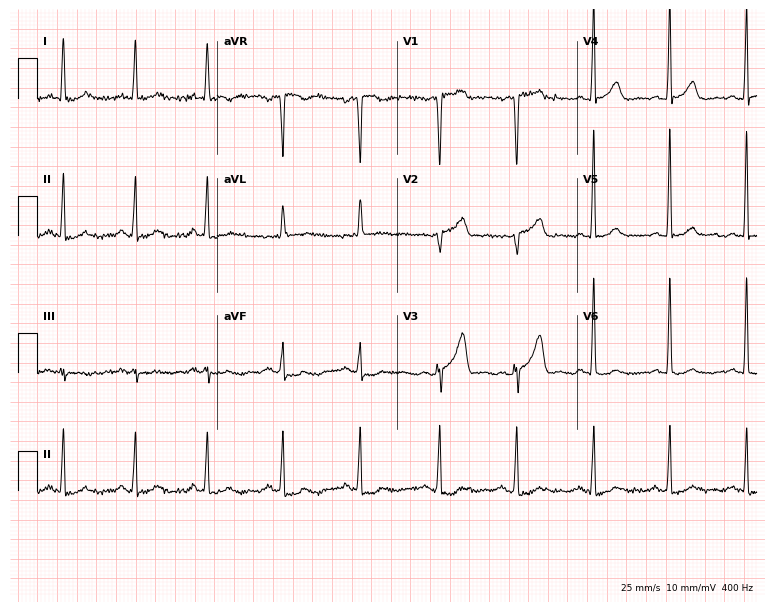
12-lead ECG (7.3-second recording at 400 Hz) from a 55-year-old female patient. Screened for six findings — first-degree AV block, right bundle branch block, left bundle branch block, sinus bradycardia, atrial fibrillation, sinus tachycardia — none is recorded. Only these six findings were labelled.